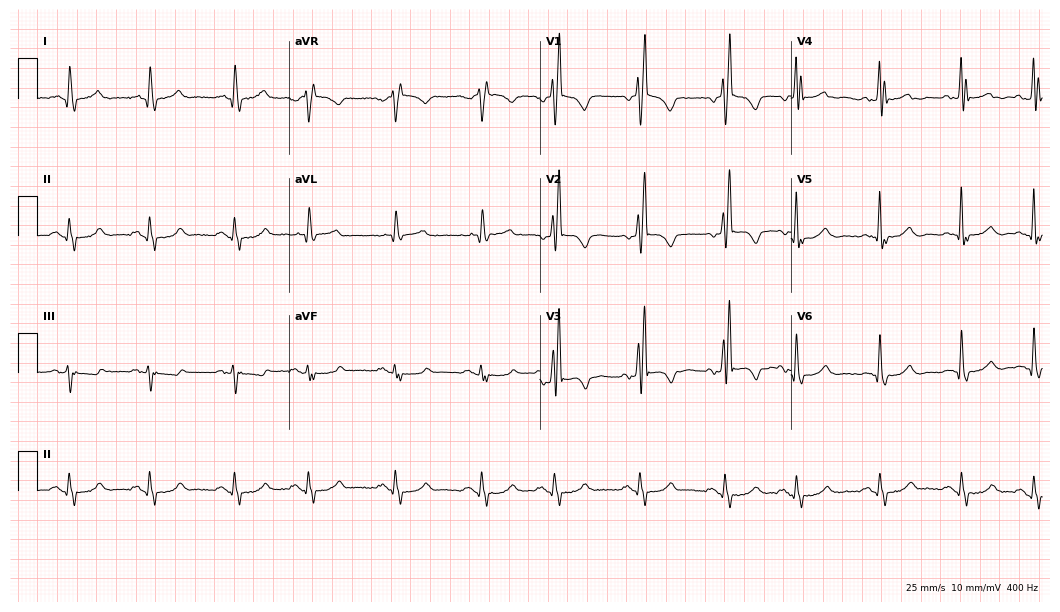
Electrocardiogram, a woman, 73 years old. Of the six screened findings (first-degree AV block, right bundle branch block (RBBB), left bundle branch block (LBBB), sinus bradycardia, atrial fibrillation (AF), sinus tachycardia), none is recorded. Findings outside these six are not listed.